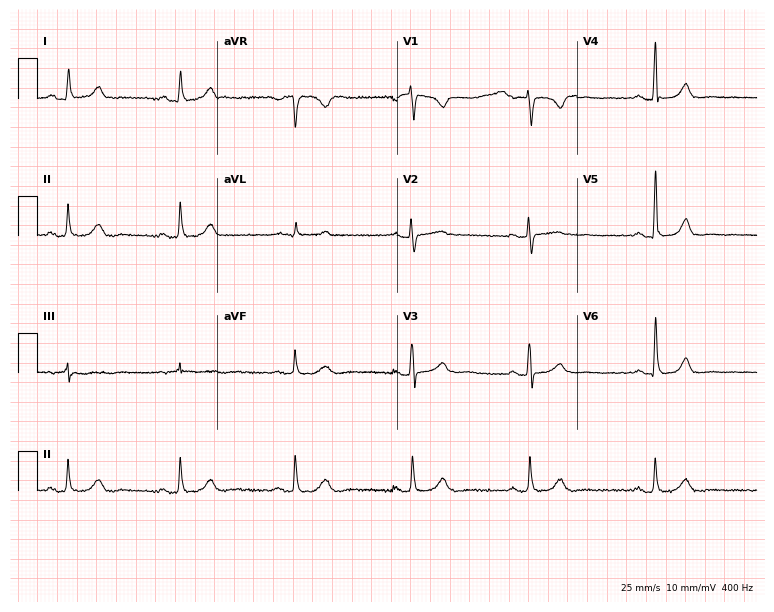
12-lead ECG from a woman, 55 years old (7.3-second recording at 400 Hz). Shows sinus bradycardia (a sinus rate of 50 beats per minute or less).